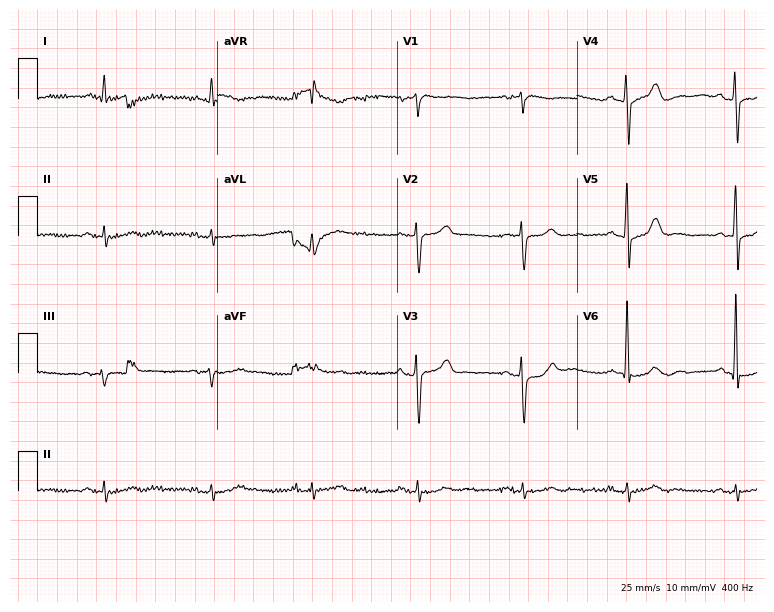
ECG — a 79-year-old man. Labelled as a normal ECG.